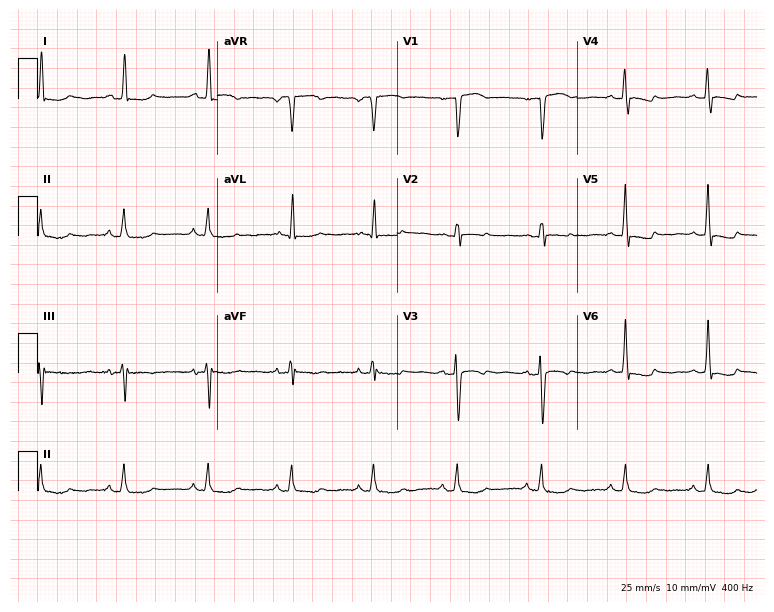
12-lead ECG from a female patient, 62 years old. Screened for six findings — first-degree AV block, right bundle branch block, left bundle branch block, sinus bradycardia, atrial fibrillation, sinus tachycardia — none is recorded.